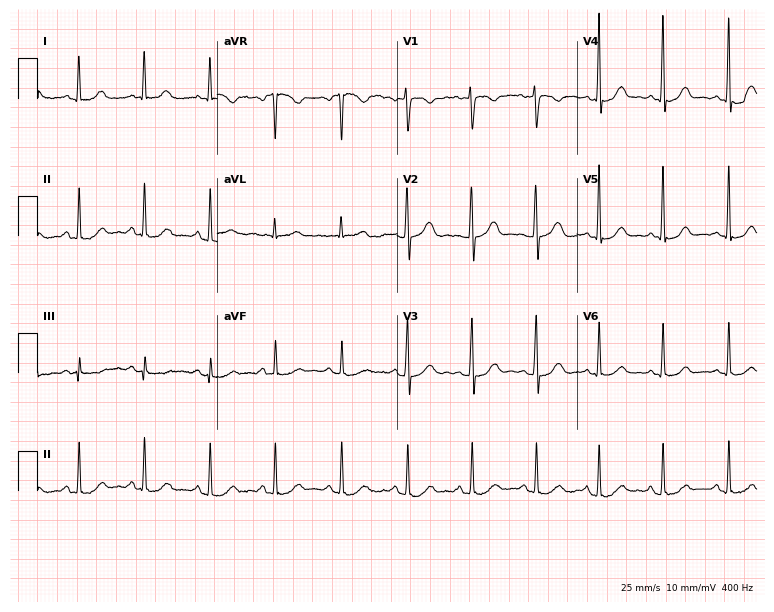
Standard 12-lead ECG recorded from a woman, 36 years old (7.3-second recording at 400 Hz). None of these six findings is recorded: first-degree AV block, right bundle branch block, left bundle branch block, sinus bradycardia, atrial fibrillation, sinus tachycardia. Findings outside these six are not listed.